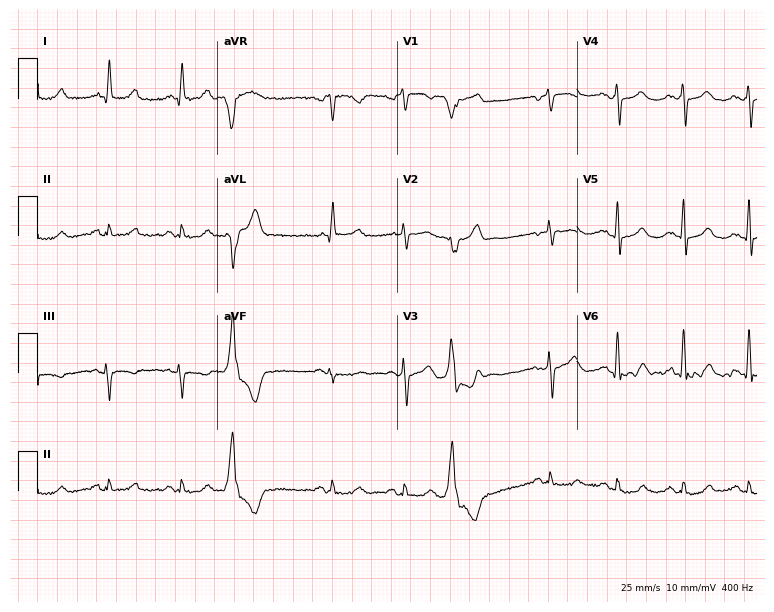
12-lead ECG (7.3-second recording at 400 Hz) from a male patient, 60 years old. Screened for six findings — first-degree AV block, right bundle branch block, left bundle branch block, sinus bradycardia, atrial fibrillation, sinus tachycardia — none is recorded. Other findings, if any, are not listed.